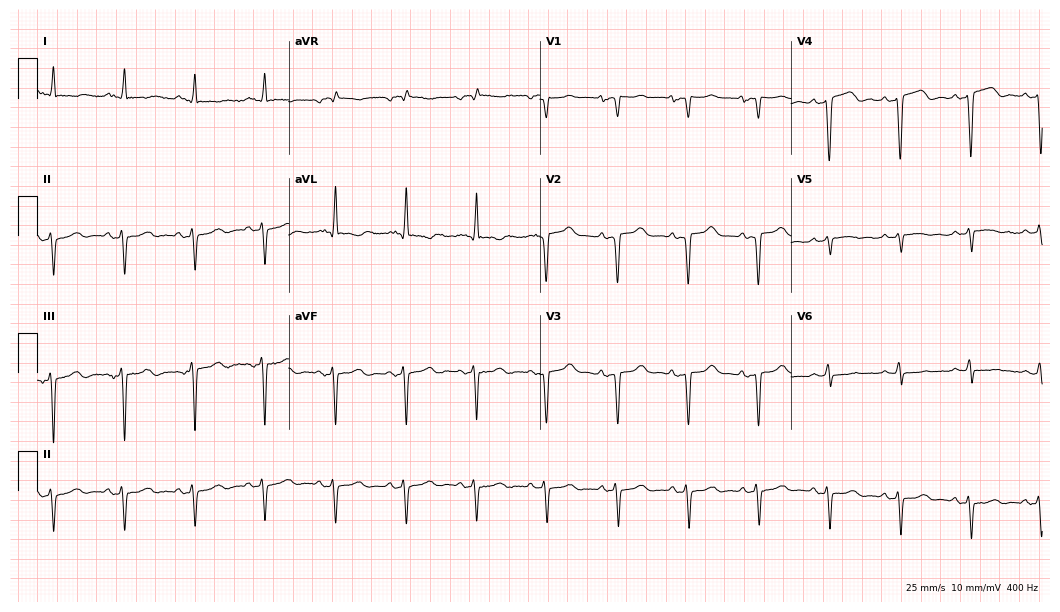
Standard 12-lead ECG recorded from a woman, 77 years old. None of these six findings is recorded: first-degree AV block, right bundle branch block (RBBB), left bundle branch block (LBBB), sinus bradycardia, atrial fibrillation (AF), sinus tachycardia.